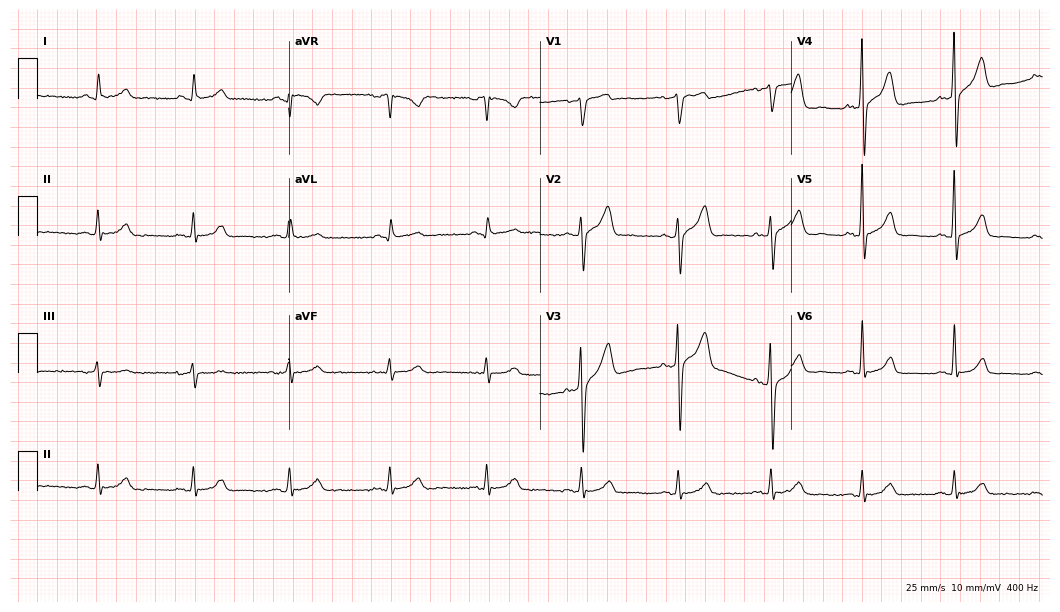
Resting 12-lead electrocardiogram. Patient: a male, 71 years old. Read as a normal ECG.